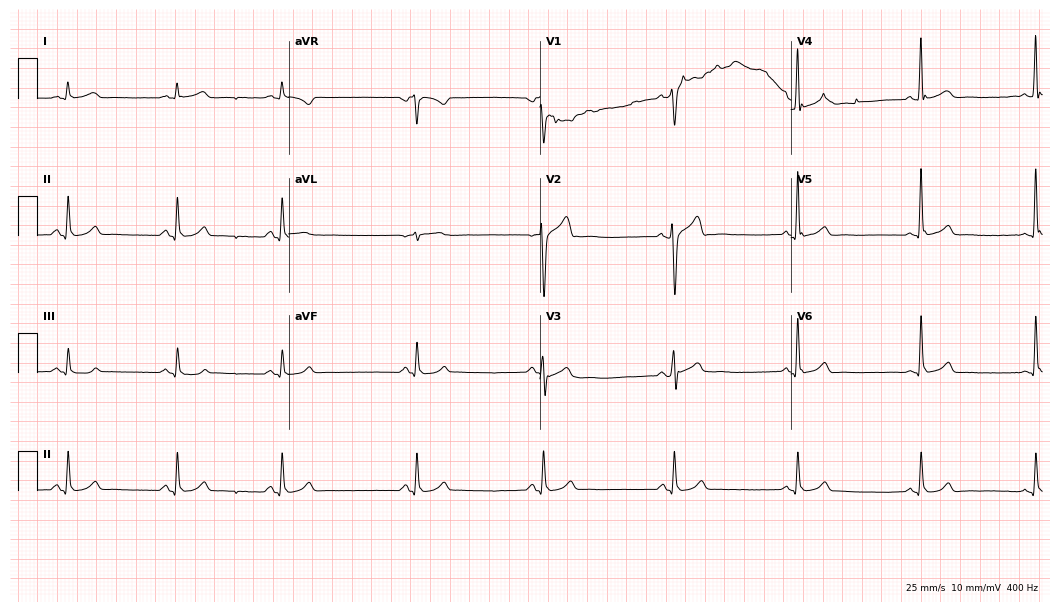
ECG (10.2-second recording at 400 Hz) — a man, 46 years old. Findings include right bundle branch block (RBBB), sinus bradycardia (a sinus rate of 50 beats per minute or less), atrial fibrillation (AF).